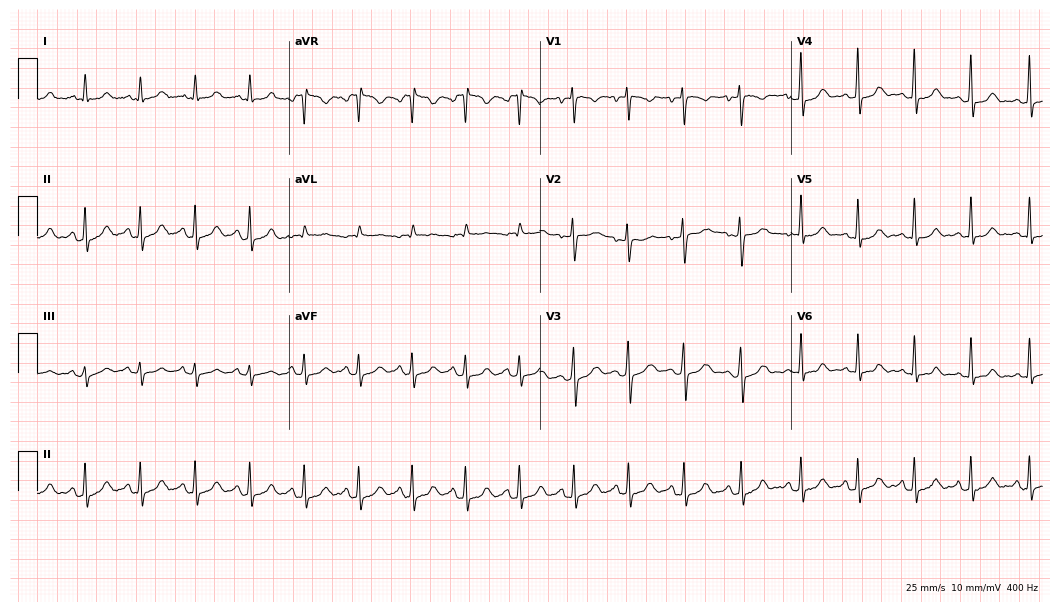
12-lead ECG (10.2-second recording at 400 Hz) from a 25-year-old female. Findings include sinus tachycardia (a sinus rate of 100 beats per minute or more).